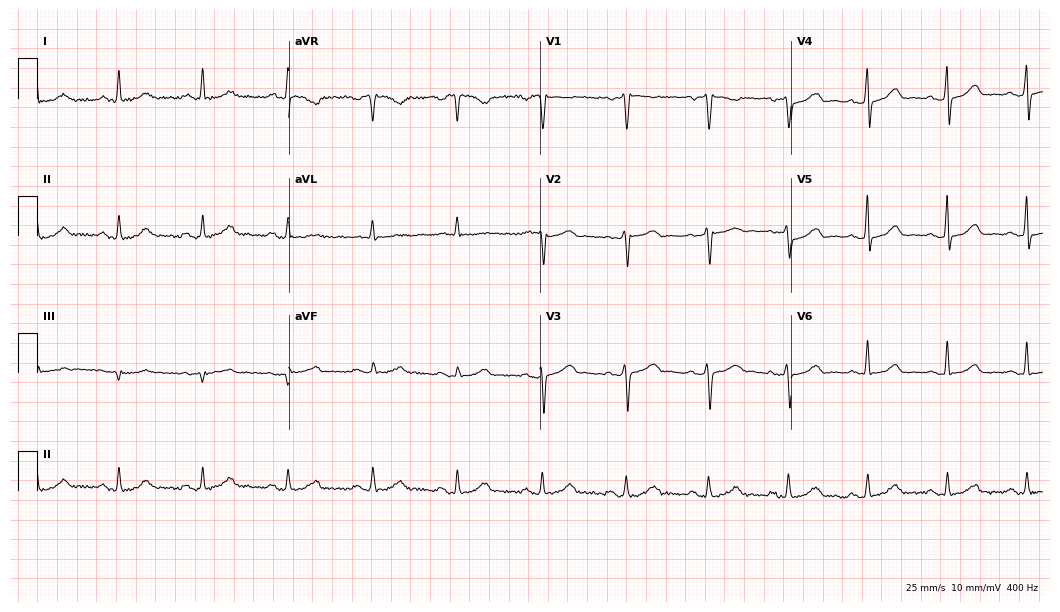
Resting 12-lead electrocardiogram (10.2-second recording at 400 Hz). Patient: a female, 51 years old. Read as a normal ECG.